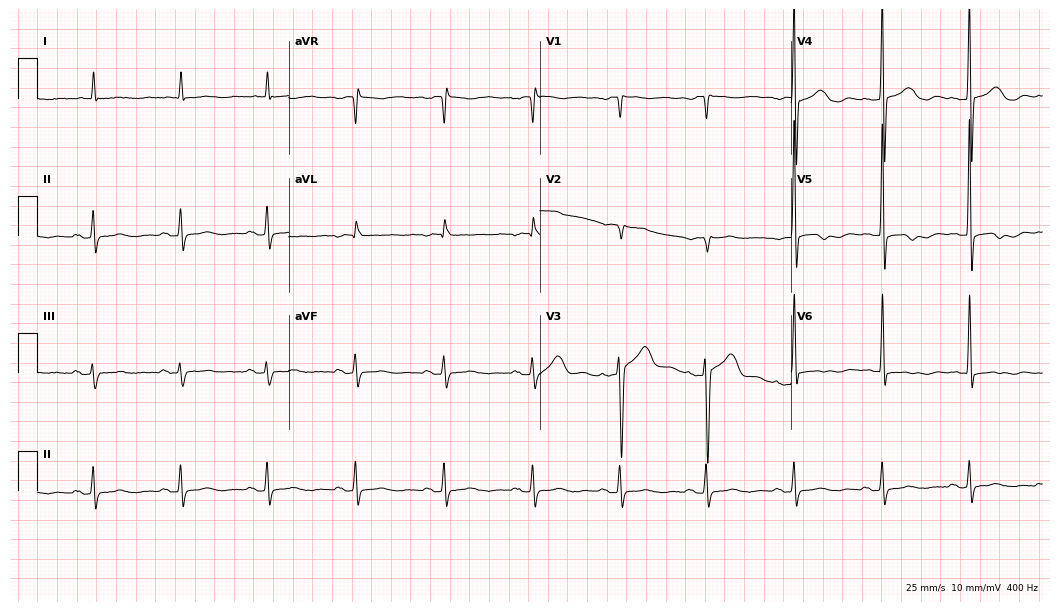
Resting 12-lead electrocardiogram. Patient: an 84-year-old female. None of these six findings is recorded: first-degree AV block, right bundle branch block, left bundle branch block, sinus bradycardia, atrial fibrillation, sinus tachycardia. Other findings, if any, are not listed.